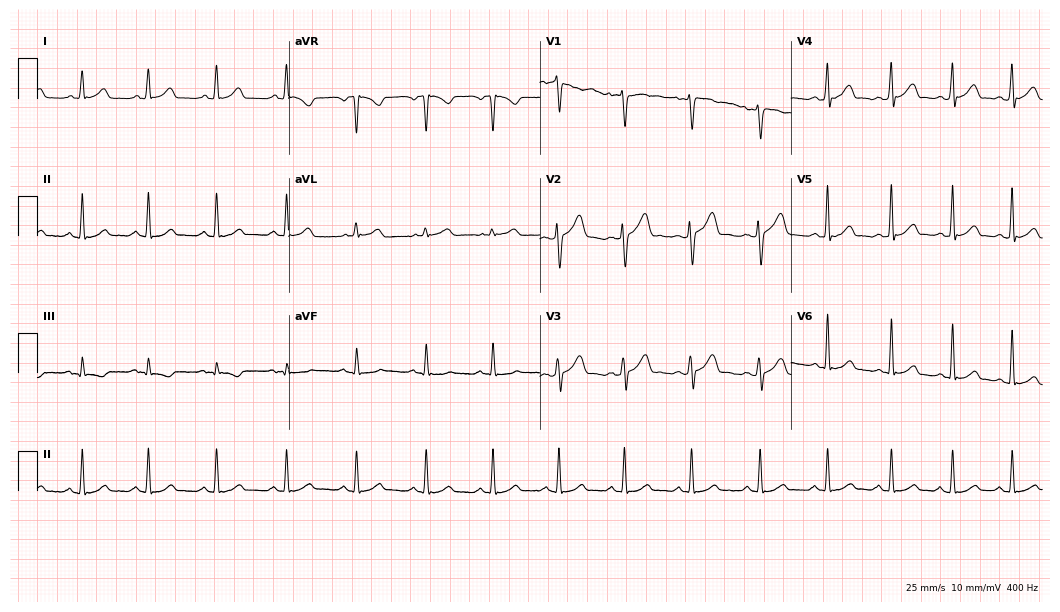
Electrocardiogram (10.2-second recording at 400 Hz), a 30-year-old male patient. Overall reading on record: normal ECG.